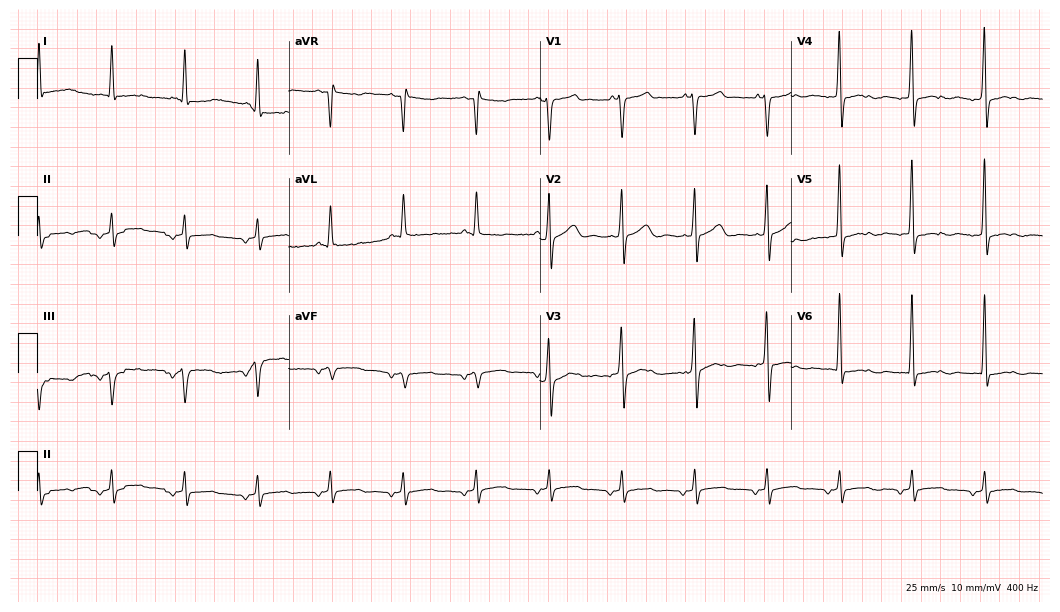
12-lead ECG from a man, 76 years old. Screened for six findings — first-degree AV block, right bundle branch block, left bundle branch block, sinus bradycardia, atrial fibrillation, sinus tachycardia — none is recorded.